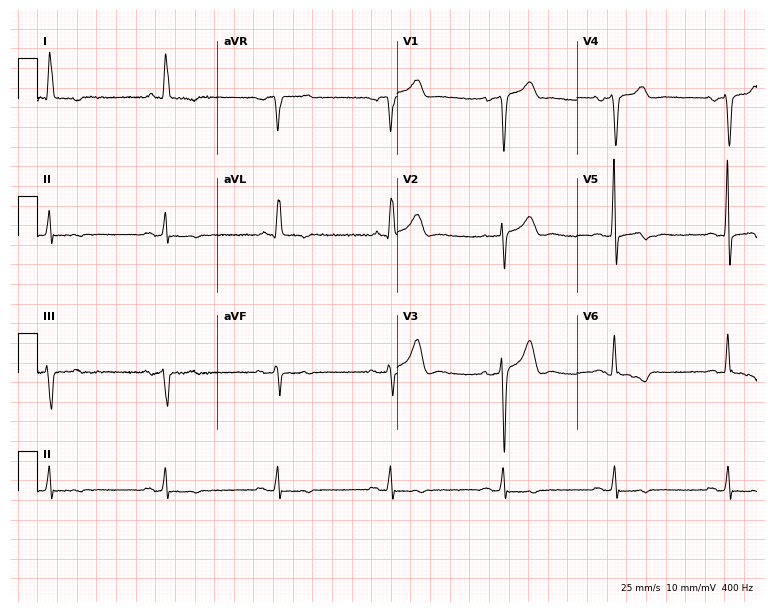
12-lead ECG from a 79-year-old man (7.3-second recording at 400 Hz). No first-degree AV block, right bundle branch block (RBBB), left bundle branch block (LBBB), sinus bradycardia, atrial fibrillation (AF) or sinus tachycardia recorded for this tracing.